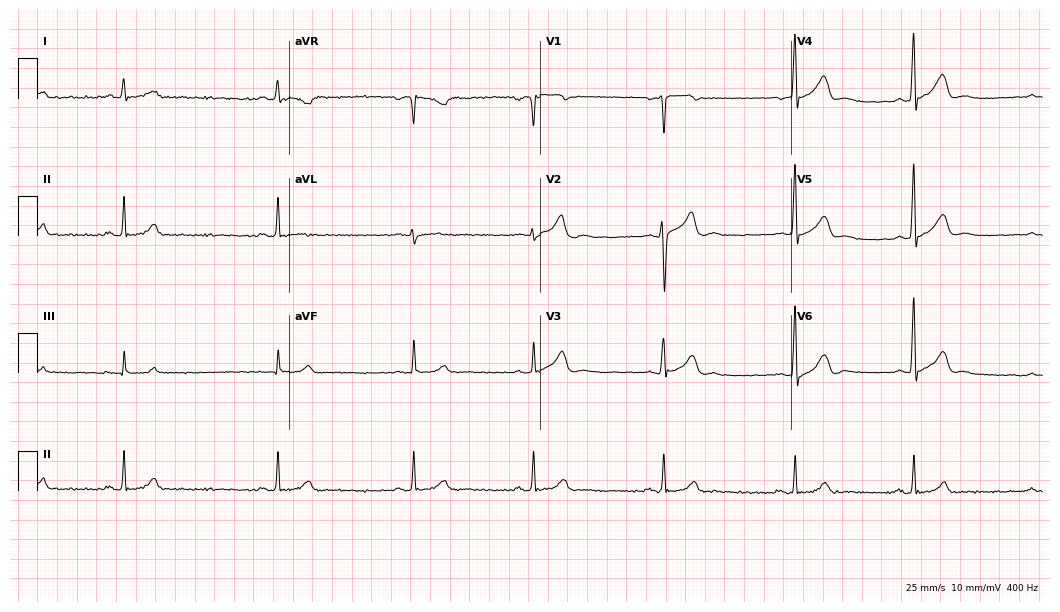
Standard 12-lead ECG recorded from a 40-year-old man (10.2-second recording at 400 Hz). The tracing shows sinus bradycardia (a sinus rate of 50 beats per minute or less).